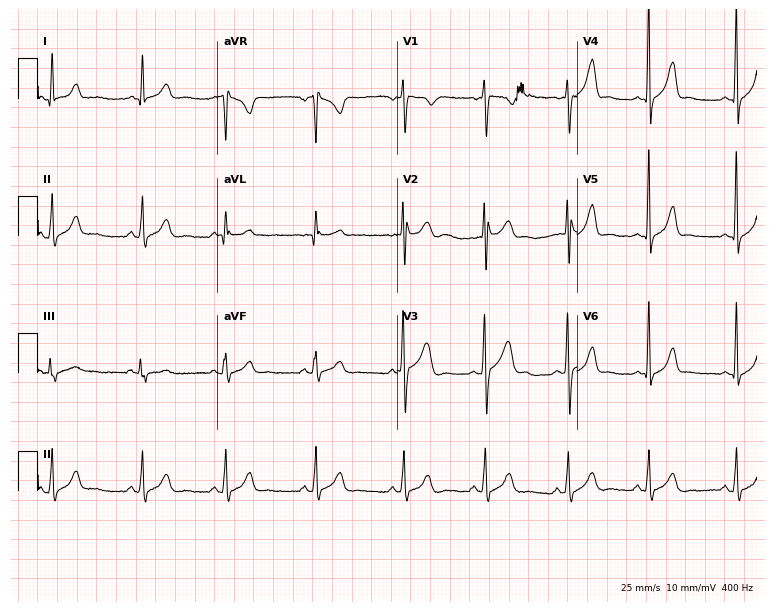
12-lead ECG from a man, 17 years old. Recorded interpretation: within normal limits.